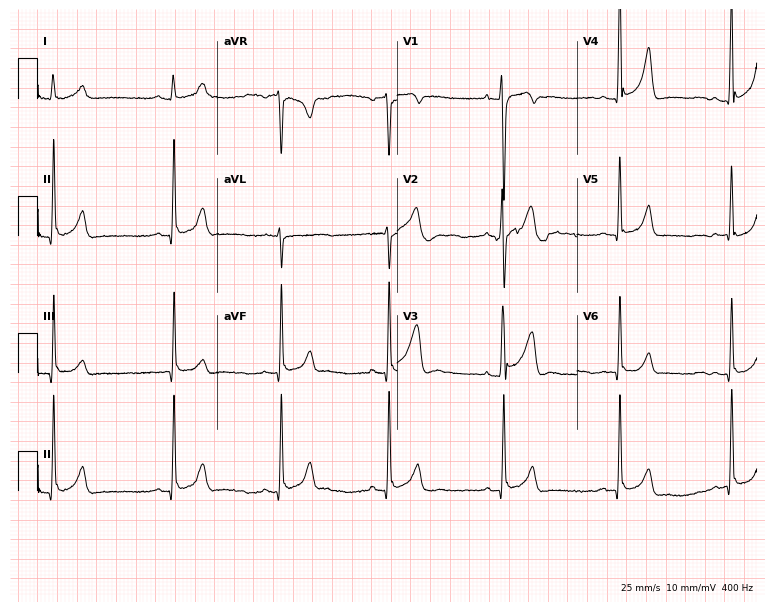
Resting 12-lead electrocardiogram (7.3-second recording at 400 Hz). Patient: a 38-year-old man. None of these six findings is recorded: first-degree AV block, right bundle branch block, left bundle branch block, sinus bradycardia, atrial fibrillation, sinus tachycardia.